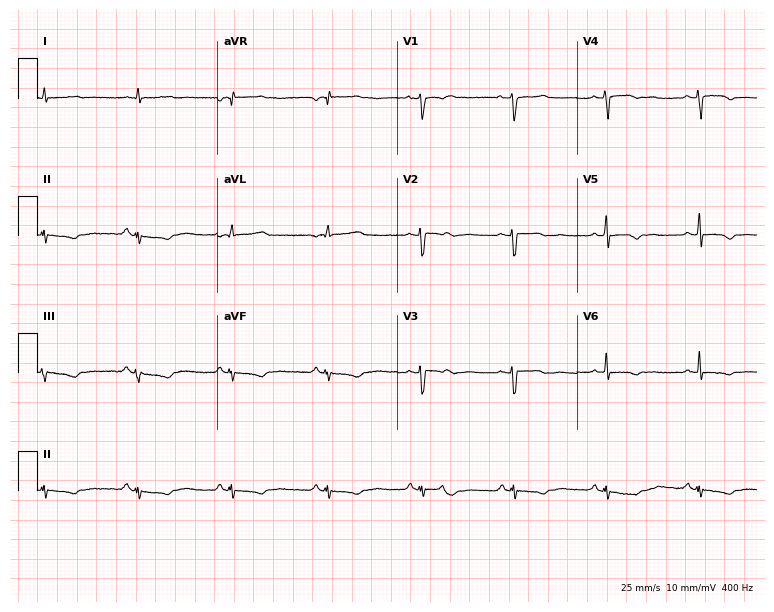
Electrocardiogram (7.3-second recording at 400 Hz), a 38-year-old female patient. Of the six screened findings (first-degree AV block, right bundle branch block (RBBB), left bundle branch block (LBBB), sinus bradycardia, atrial fibrillation (AF), sinus tachycardia), none is recorded.